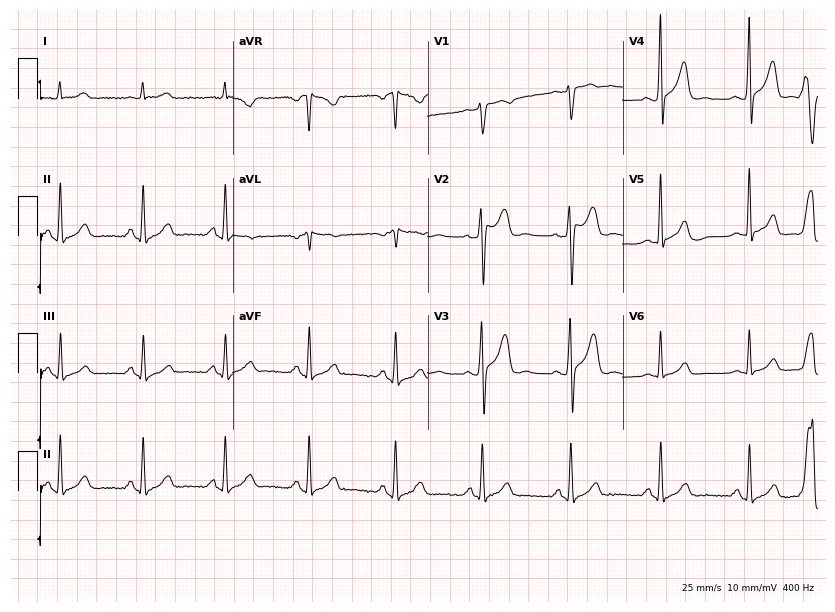
ECG (8-second recording at 400 Hz) — a 54-year-old male patient. Screened for six findings — first-degree AV block, right bundle branch block (RBBB), left bundle branch block (LBBB), sinus bradycardia, atrial fibrillation (AF), sinus tachycardia — none is recorded. Other findings, if any, are not listed.